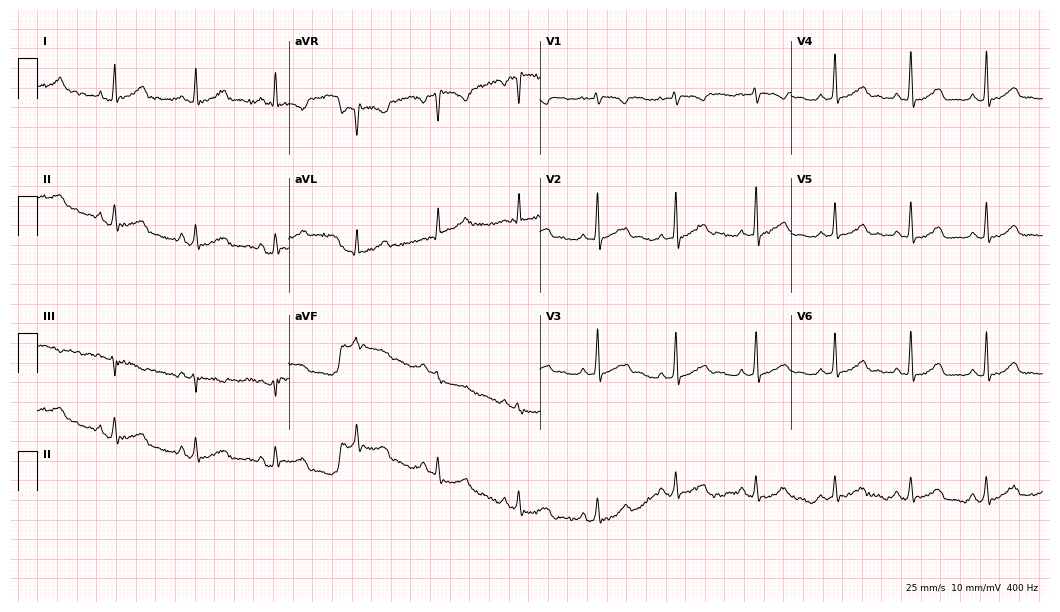
12-lead ECG from a 57-year-old woman (10.2-second recording at 400 Hz). No first-degree AV block, right bundle branch block, left bundle branch block, sinus bradycardia, atrial fibrillation or sinus tachycardia recorded for this tracing.